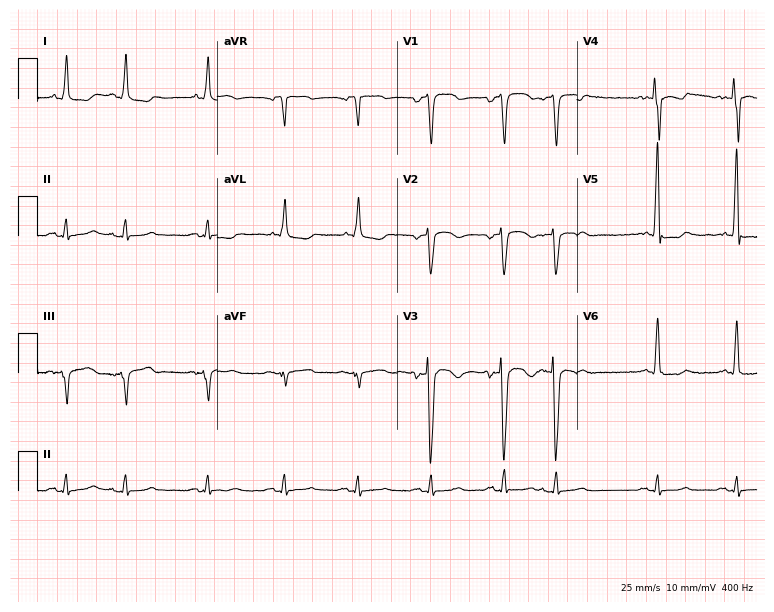
Standard 12-lead ECG recorded from a male patient, 78 years old. None of these six findings is recorded: first-degree AV block, right bundle branch block, left bundle branch block, sinus bradycardia, atrial fibrillation, sinus tachycardia. Other findings, if any, are not listed.